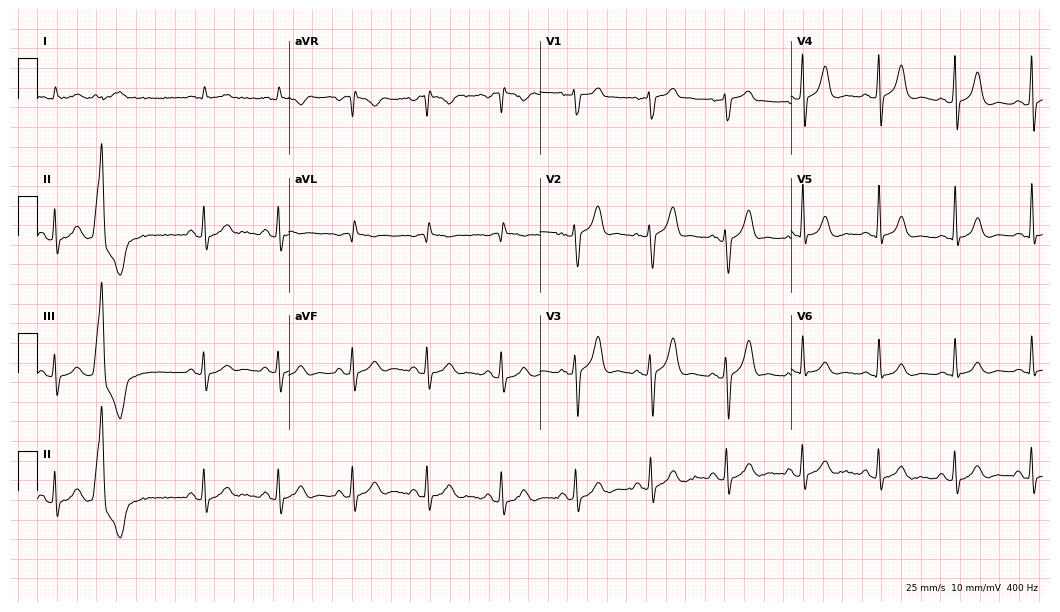
Resting 12-lead electrocardiogram (10.2-second recording at 400 Hz). Patient: a man, 84 years old. None of these six findings is recorded: first-degree AV block, right bundle branch block, left bundle branch block, sinus bradycardia, atrial fibrillation, sinus tachycardia. Findings outside these six are not listed.